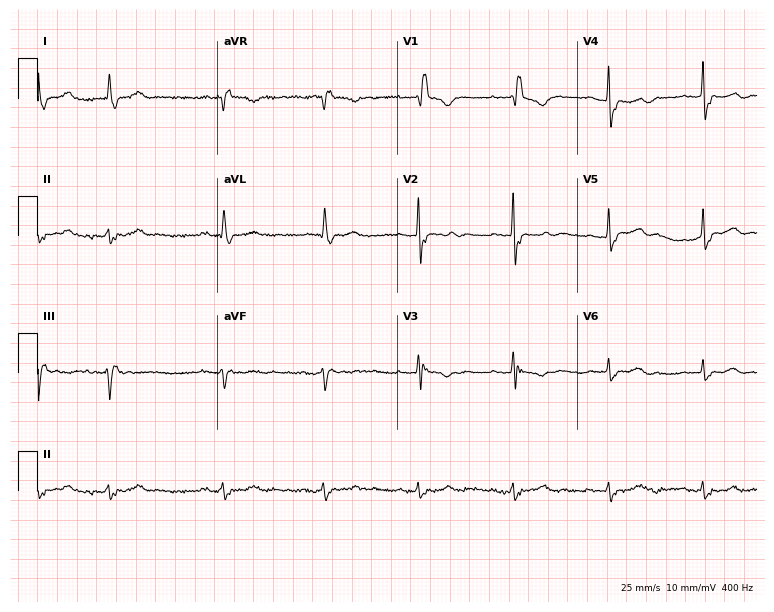
Resting 12-lead electrocardiogram. Patient: a female, 78 years old. The tracing shows right bundle branch block (RBBB).